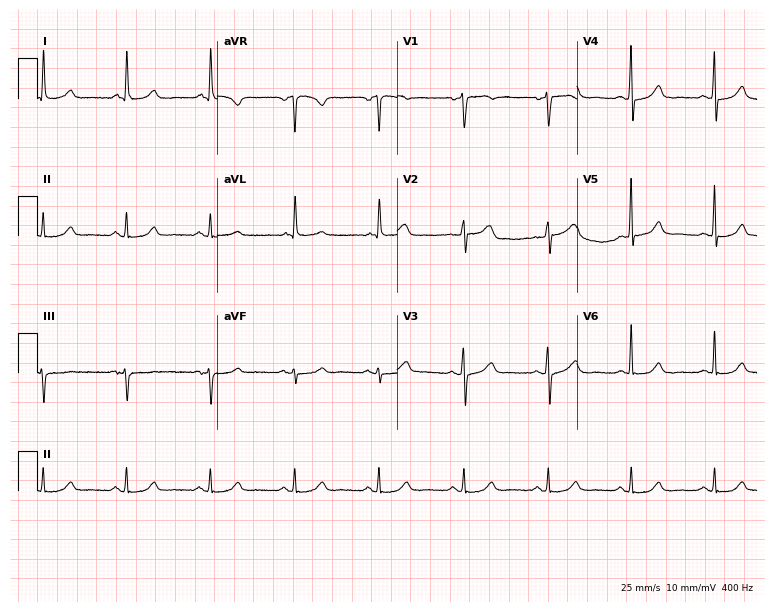
12-lead ECG from a woman, 70 years old. Labelled as a normal ECG.